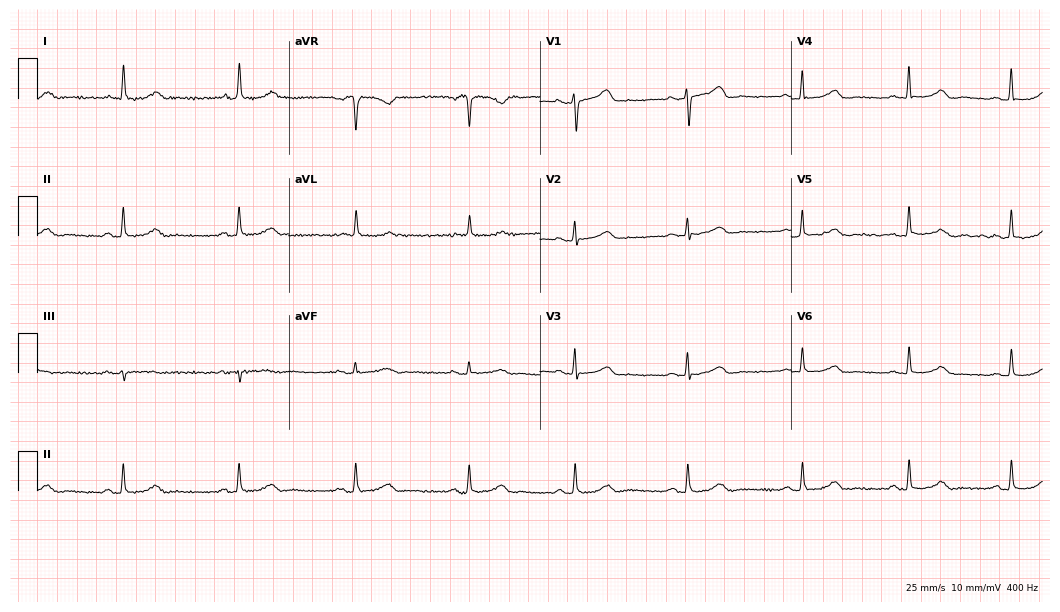
12-lead ECG from a 73-year-old woman (10.2-second recording at 400 Hz). Recorded interpretation: within normal limits.